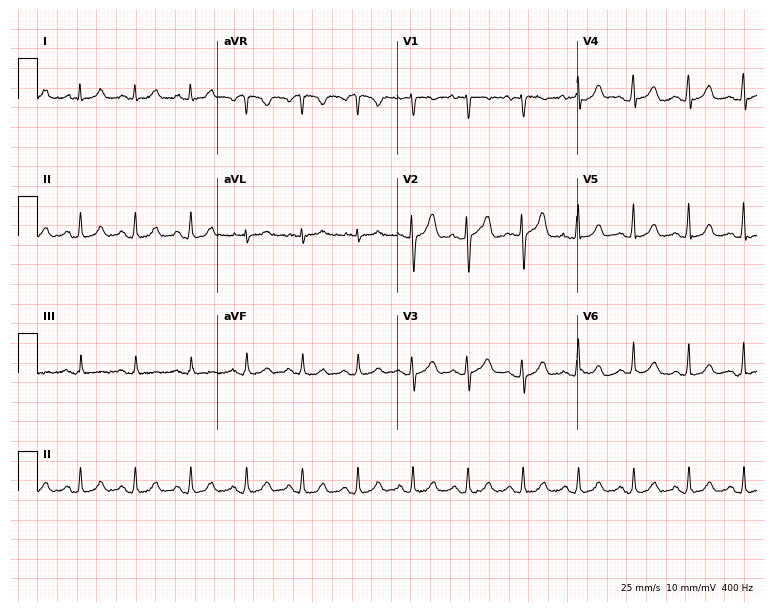
12-lead ECG from a 48-year-old female patient. Shows sinus tachycardia (a sinus rate of 100 beats per minute or more).